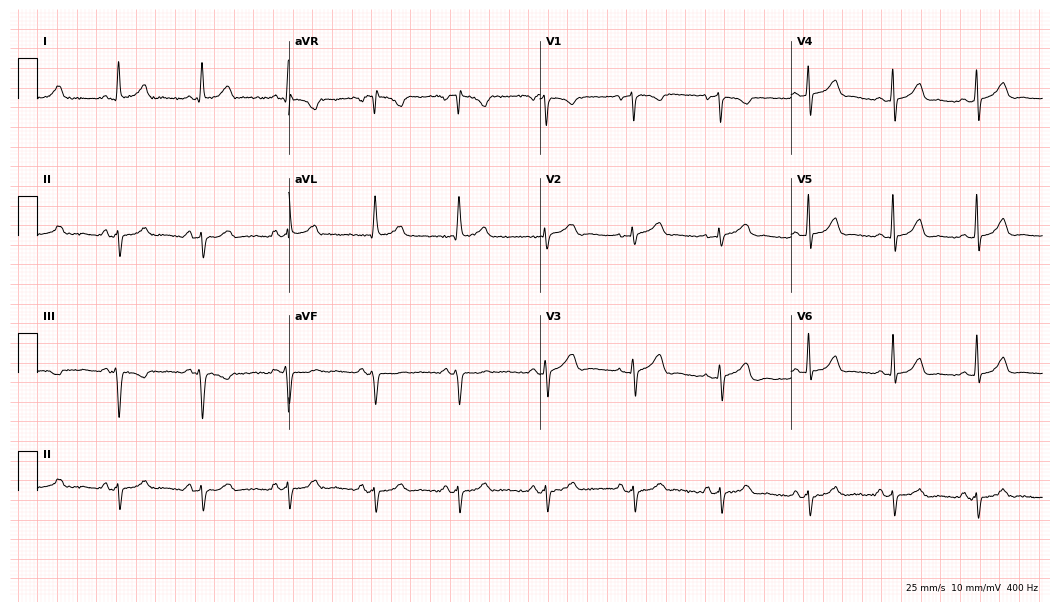
Resting 12-lead electrocardiogram. Patient: a 36-year-old female. None of these six findings is recorded: first-degree AV block, right bundle branch block, left bundle branch block, sinus bradycardia, atrial fibrillation, sinus tachycardia.